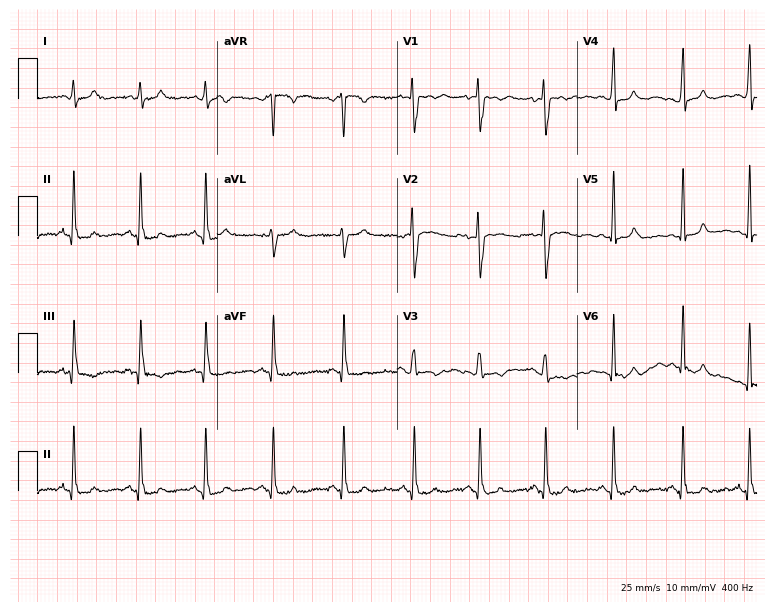
Resting 12-lead electrocardiogram (7.3-second recording at 400 Hz). Patient: a woman, 33 years old. Read as a normal ECG.